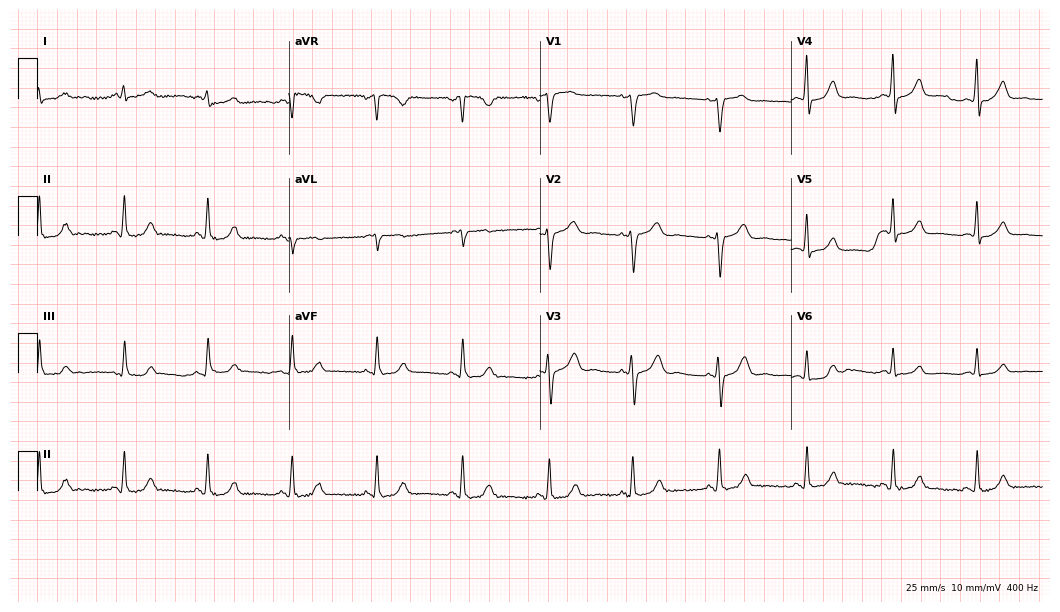
Resting 12-lead electrocardiogram (10.2-second recording at 400 Hz). Patient: a 47-year-old female. Read as a normal ECG.